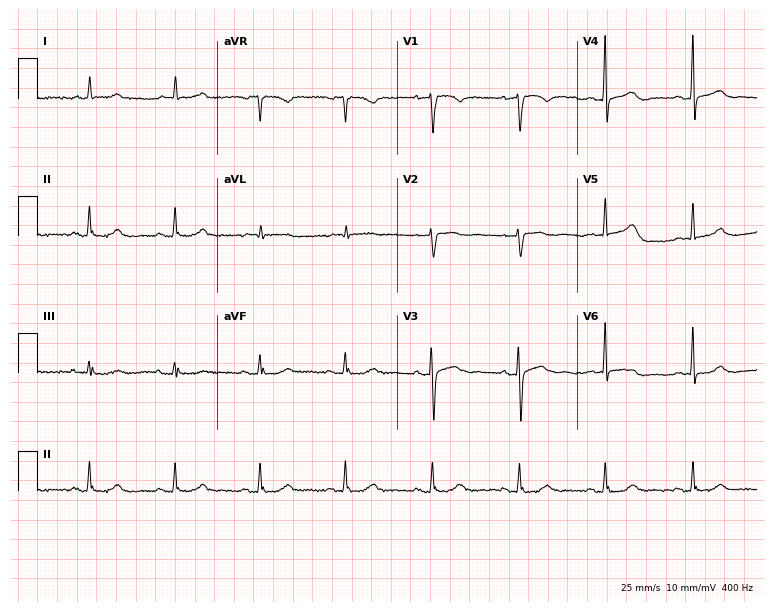
ECG (7.3-second recording at 400 Hz) — a female patient, 76 years old. Labelled as a normal ECG.